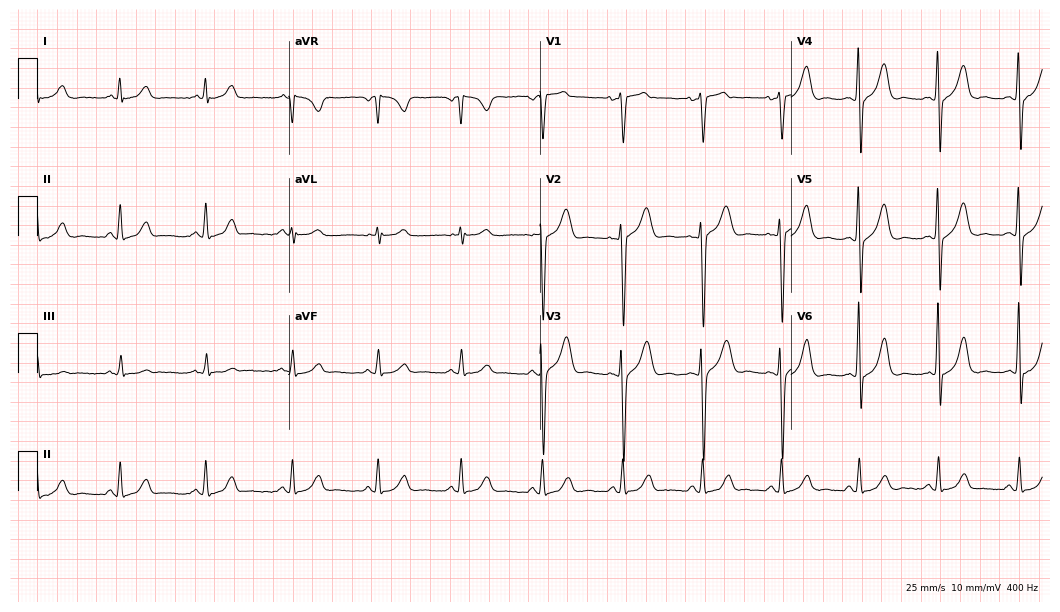
Standard 12-lead ECG recorded from a 42-year-old male patient (10.2-second recording at 400 Hz). None of these six findings is recorded: first-degree AV block, right bundle branch block, left bundle branch block, sinus bradycardia, atrial fibrillation, sinus tachycardia. Only these six findings were labelled.